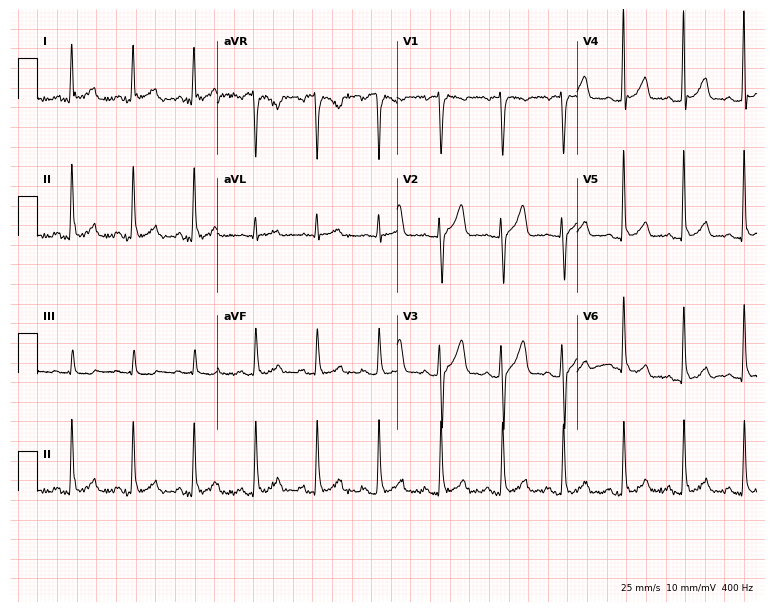
12-lead ECG from a man, 42 years old. Screened for six findings — first-degree AV block, right bundle branch block, left bundle branch block, sinus bradycardia, atrial fibrillation, sinus tachycardia — none is recorded. Only these six findings were labelled.